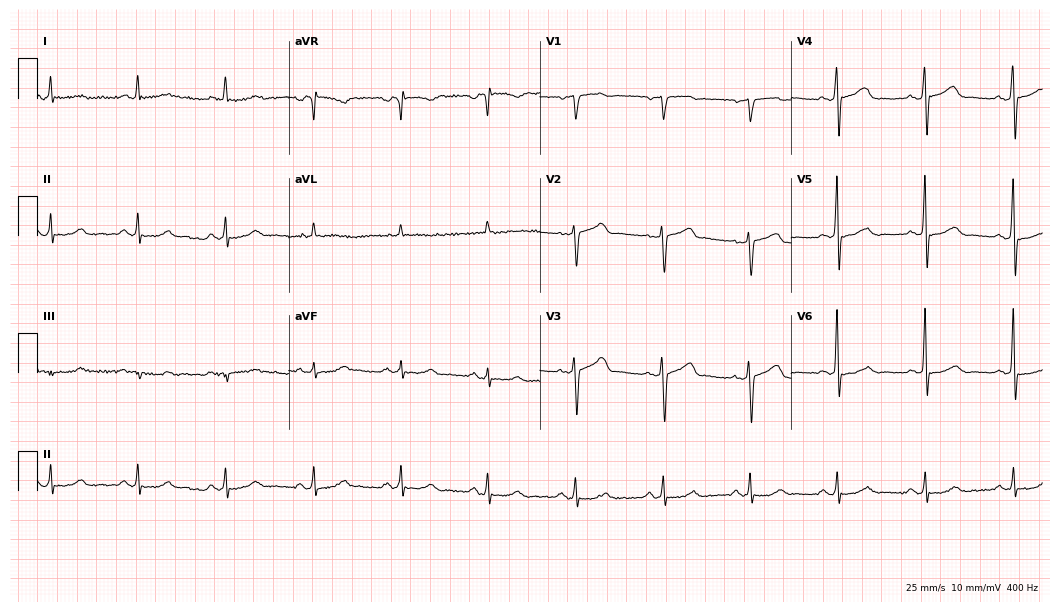
ECG — a man, 75 years old. Labelled as a normal ECG.